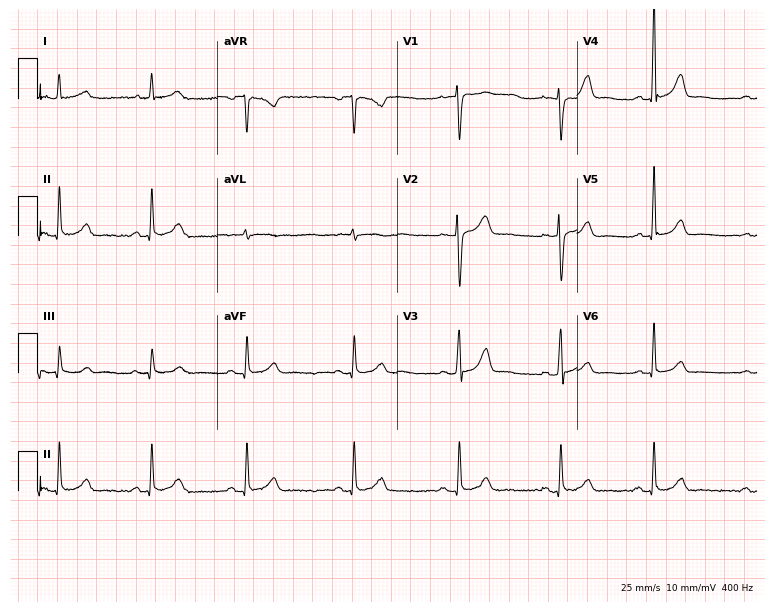
Electrocardiogram (7.3-second recording at 400 Hz), a female patient, 33 years old. Of the six screened findings (first-degree AV block, right bundle branch block, left bundle branch block, sinus bradycardia, atrial fibrillation, sinus tachycardia), none is recorded.